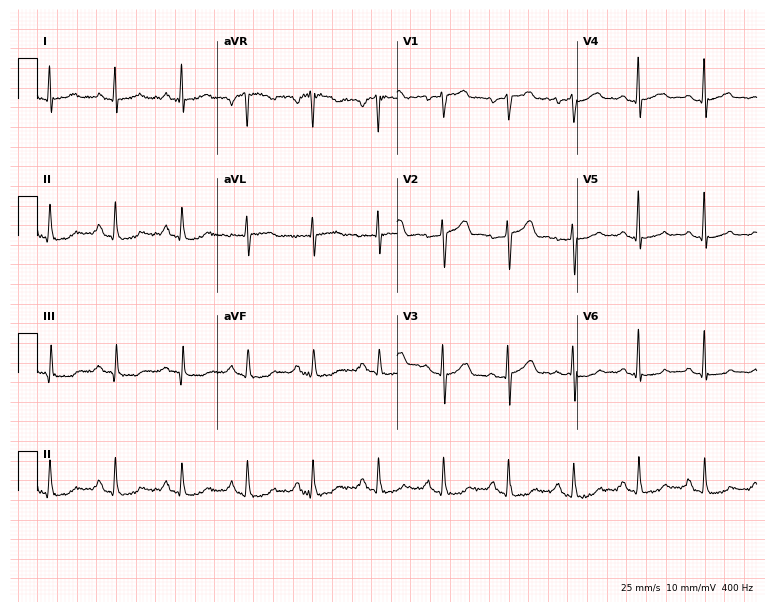
12-lead ECG from a 62-year-old male patient. Recorded interpretation: within normal limits.